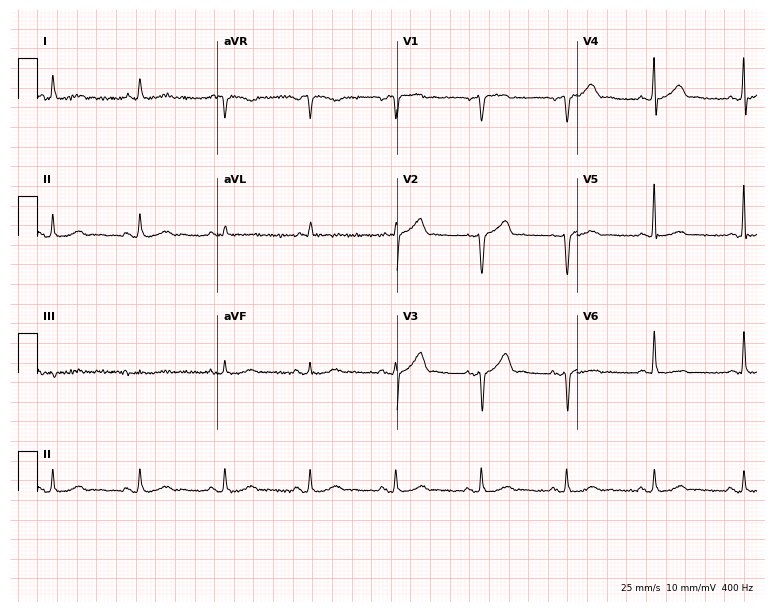
ECG (7.3-second recording at 400 Hz) — a man, 64 years old. Screened for six findings — first-degree AV block, right bundle branch block, left bundle branch block, sinus bradycardia, atrial fibrillation, sinus tachycardia — none is recorded.